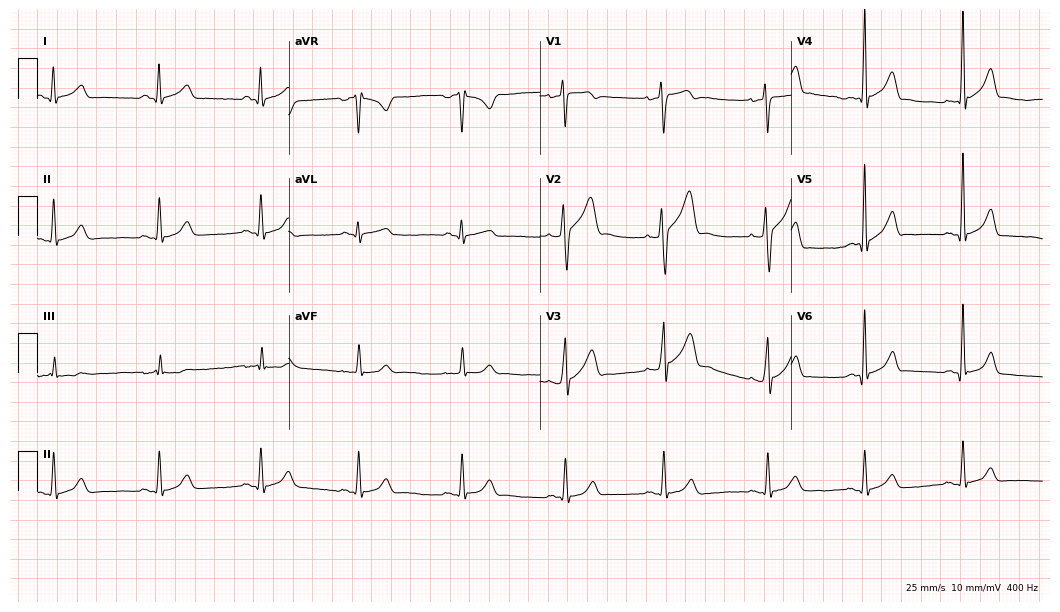
12-lead ECG from a 24-year-old male. No first-degree AV block, right bundle branch block, left bundle branch block, sinus bradycardia, atrial fibrillation or sinus tachycardia recorded for this tracing.